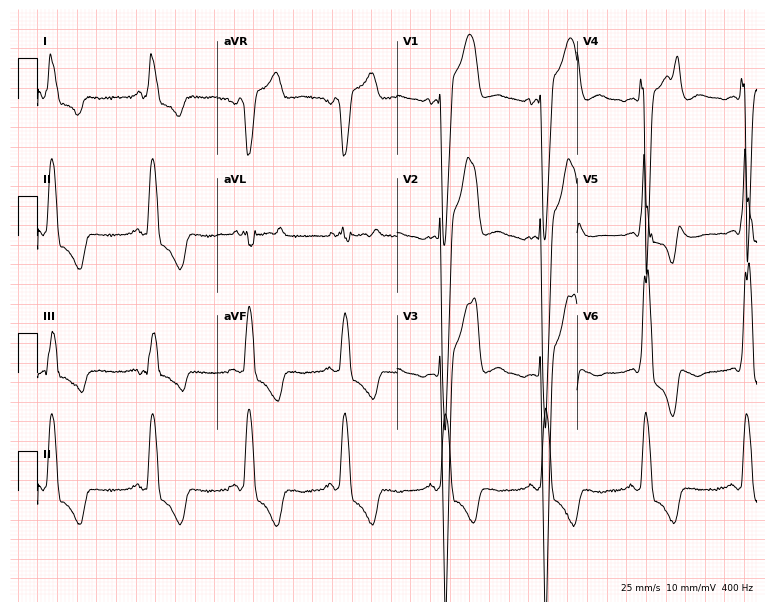
12-lead ECG from a man, 59 years old (7.3-second recording at 400 Hz). Shows left bundle branch block.